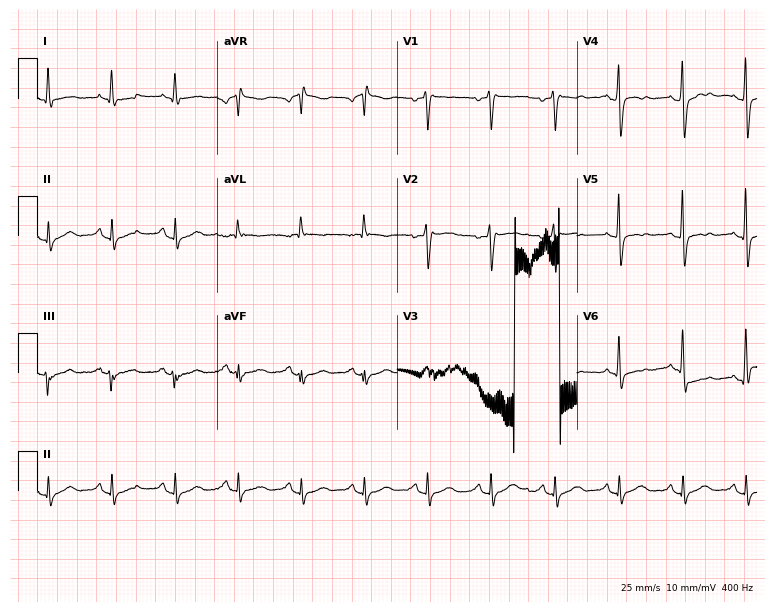
Resting 12-lead electrocardiogram. Patient: a 52-year-old man. None of these six findings is recorded: first-degree AV block, right bundle branch block, left bundle branch block, sinus bradycardia, atrial fibrillation, sinus tachycardia.